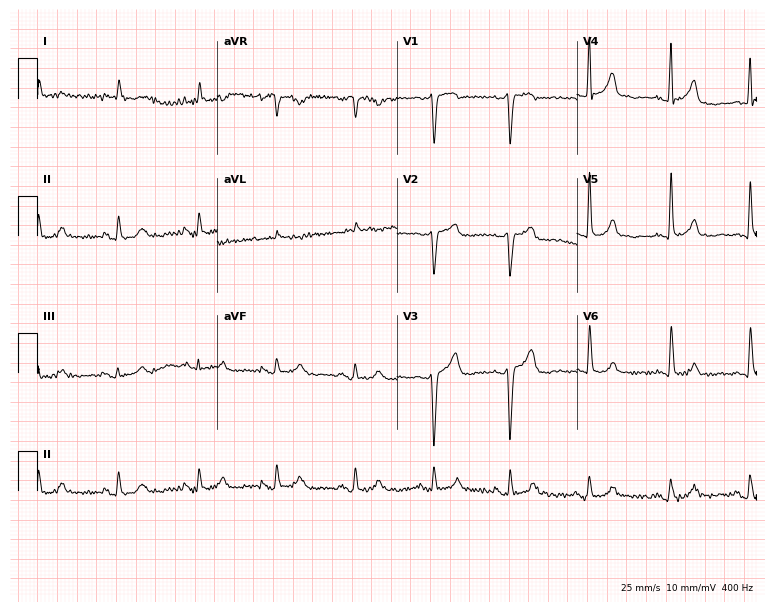
Electrocardiogram (7.3-second recording at 400 Hz), a 79-year-old man. Of the six screened findings (first-degree AV block, right bundle branch block (RBBB), left bundle branch block (LBBB), sinus bradycardia, atrial fibrillation (AF), sinus tachycardia), none is recorded.